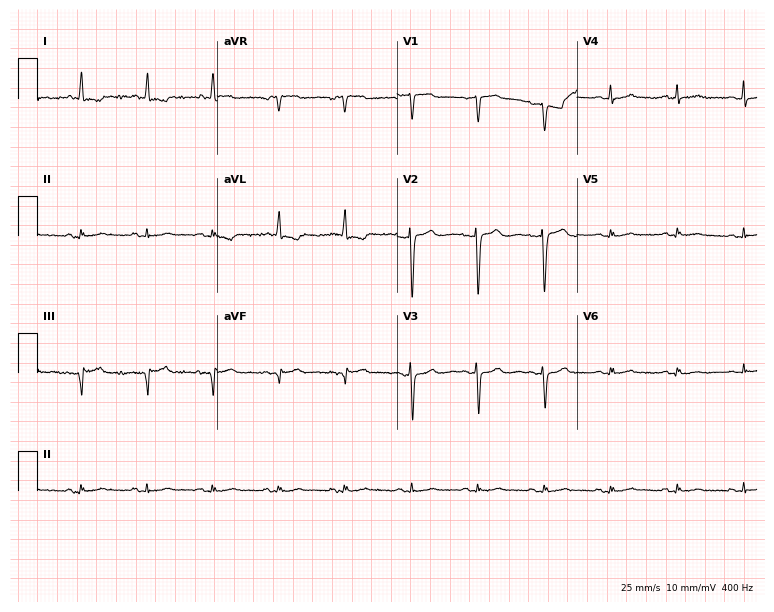
Resting 12-lead electrocardiogram. Patient: a female, 84 years old. Read as a normal ECG.